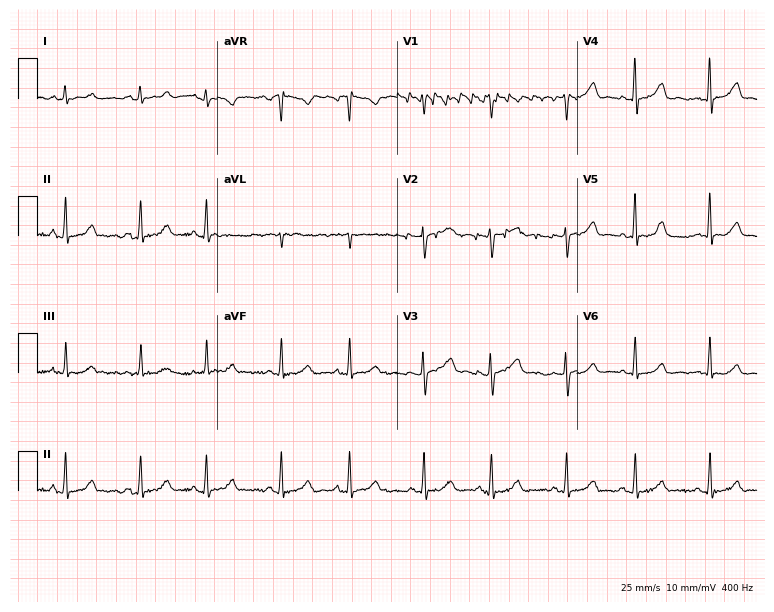
ECG (7.3-second recording at 400 Hz) — a female patient, 35 years old. Screened for six findings — first-degree AV block, right bundle branch block, left bundle branch block, sinus bradycardia, atrial fibrillation, sinus tachycardia — none is recorded. Findings outside these six are not listed.